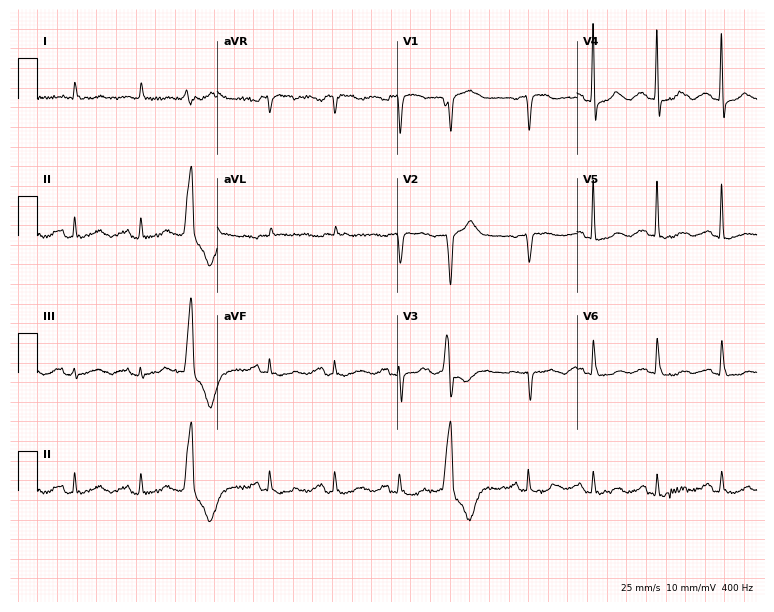
Resting 12-lead electrocardiogram (7.3-second recording at 400 Hz). Patient: an 85-year-old female. None of these six findings is recorded: first-degree AV block, right bundle branch block (RBBB), left bundle branch block (LBBB), sinus bradycardia, atrial fibrillation (AF), sinus tachycardia.